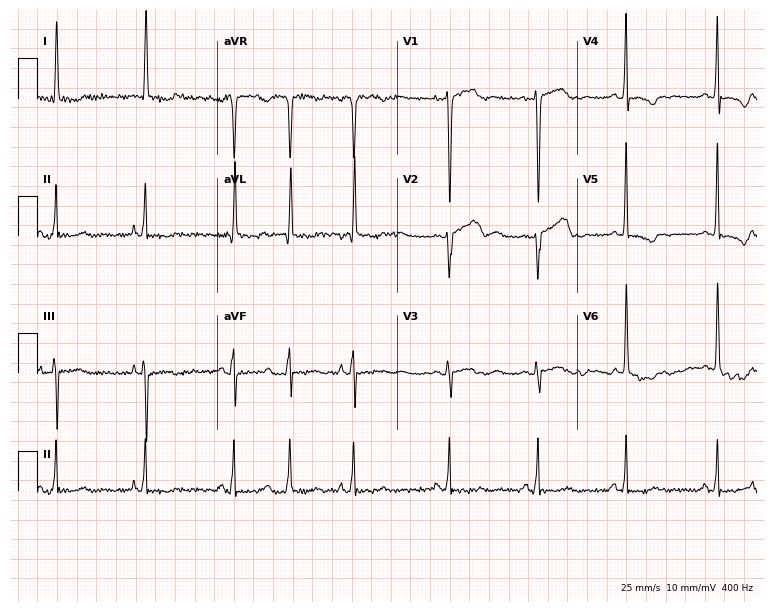
12-lead ECG from a female patient, 69 years old (7.3-second recording at 400 Hz). No first-degree AV block, right bundle branch block (RBBB), left bundle branch block (LBBB), sinus bradycardia, atrial fibrillation (AF) or sinus tachycardia recorded for this tracing.